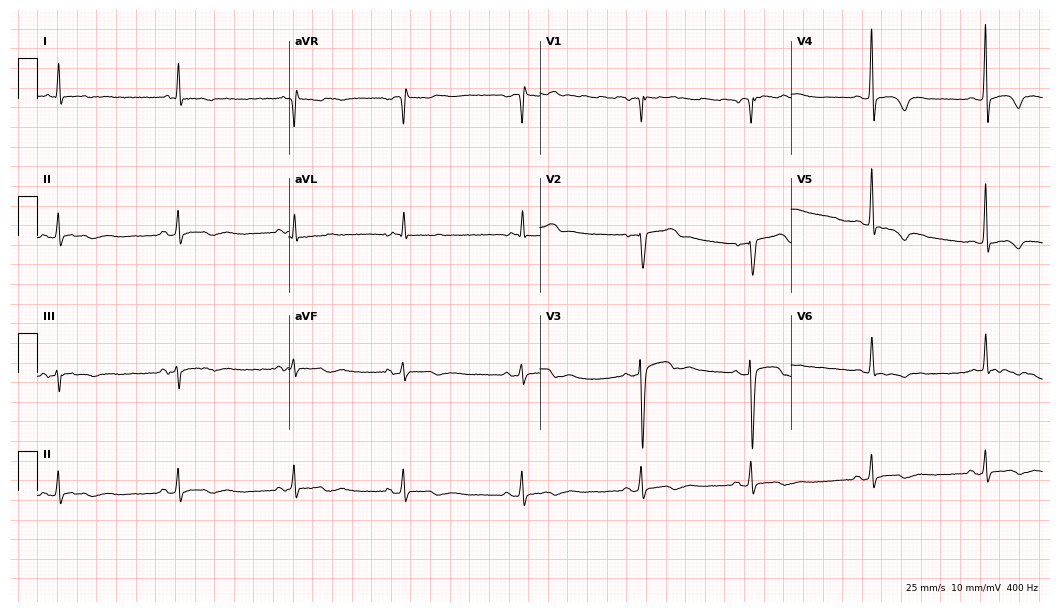
Electrocardiogram, a male, 39 years old. Of the six screened findings (first-degree AV block, right bundle branch block (RBBB), left bundle branch block (LBBB), sinus bradycardia, atrial fibrillation (AF), sinus tachycardia), none is recorded.